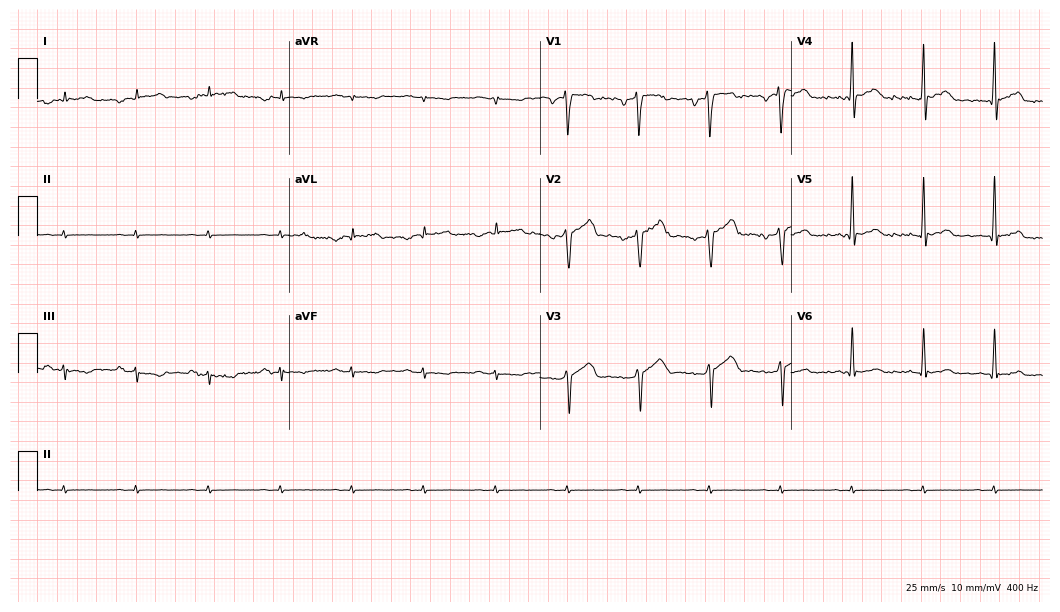
12-lead ECG from a male, 82 years old (10.2-second recording at 400 Hz). No first-degree AV block, right bundle branch block, left bundle branch block, sinus bradycardia, atrial fibrillation or sinus tachycardia recorded for this tracing.